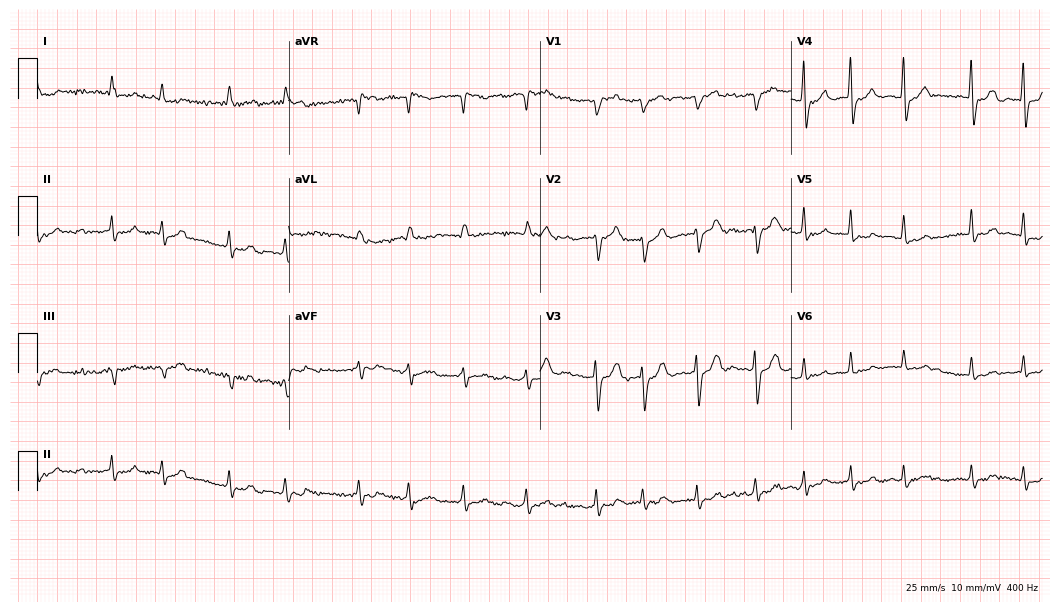
12-lead ECG from a 67-year-old female patient. Shows atrial fibrillation.